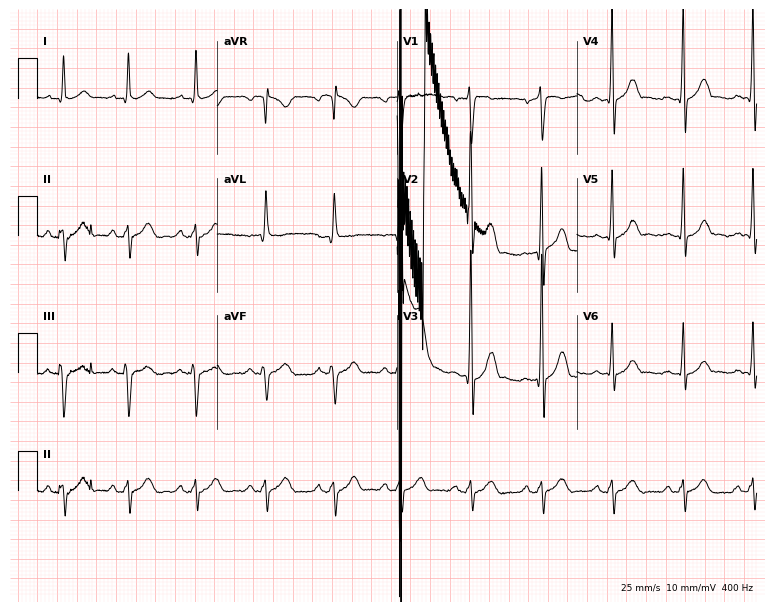
ECG (7.3-second recording at 400 Hz) — a 42-year-old male. Screened for six findings — first-degree AV block, right bundle branch block, left bundle branch block, sinus bradycardia, atrial fibrillation, sinus tachycardia — none is recorded.